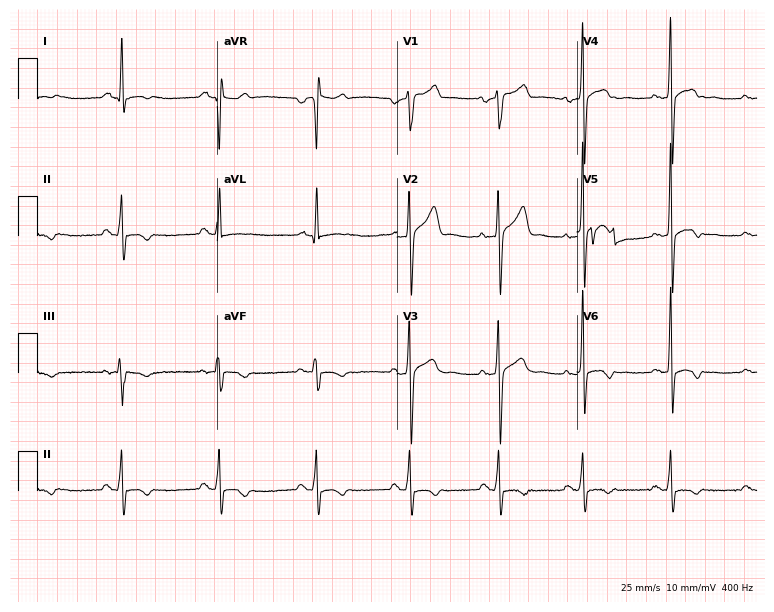
12-lead ECG from a man, 37 years old (7.3-second recording at 400 Hz). No first-degree AV block, right bundle branch block, left bundle branch block, sinus bradycardia, atrial fibrillation or sinus tachycardia recorded for this tracing.